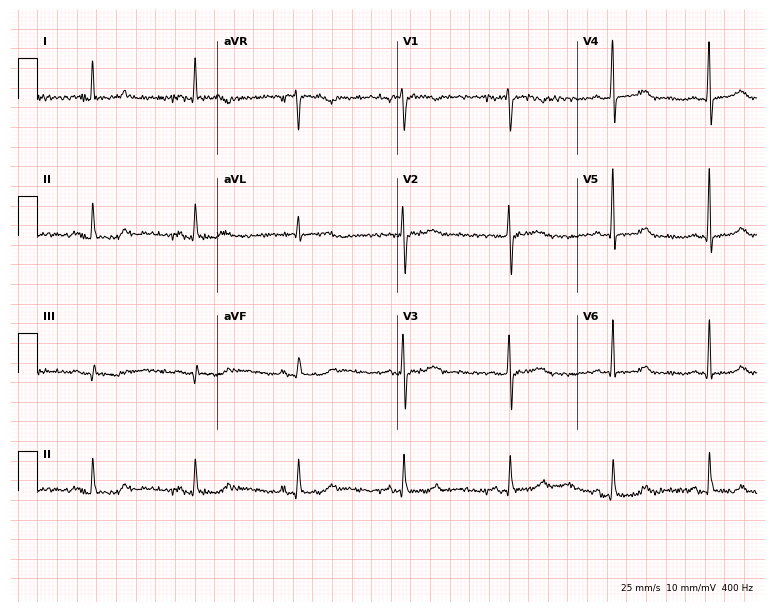
Resting 12-lead electrocardiogram (7.3-second recording at 400 Hz). Patient: a 51-year-old female. Read as a normal ECG.